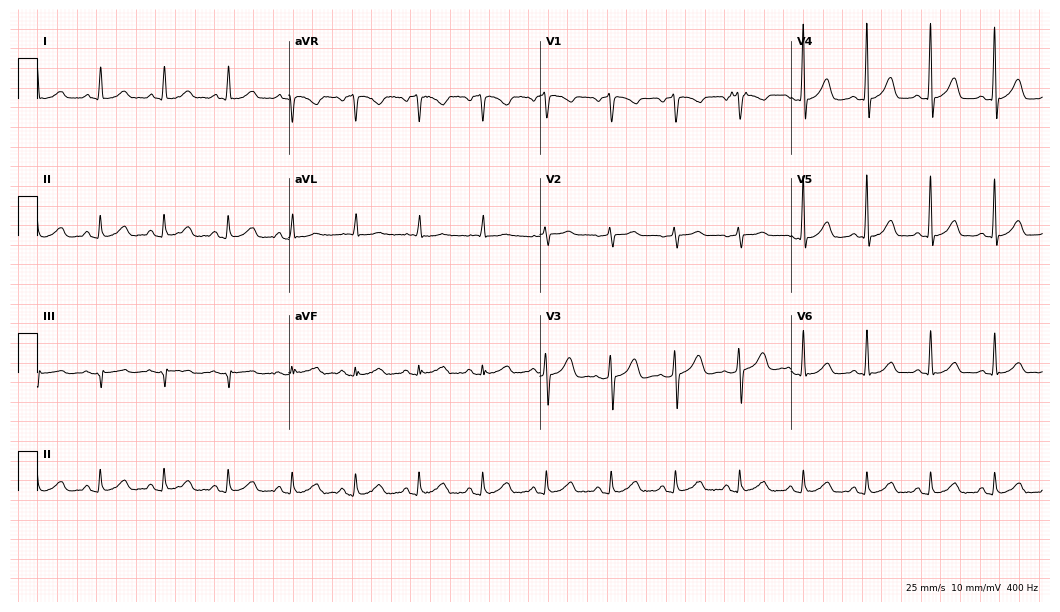
ECG (10.2-second recording at 400 Hz) — a female patient, 50 years old. Labelled as a normal ECG.